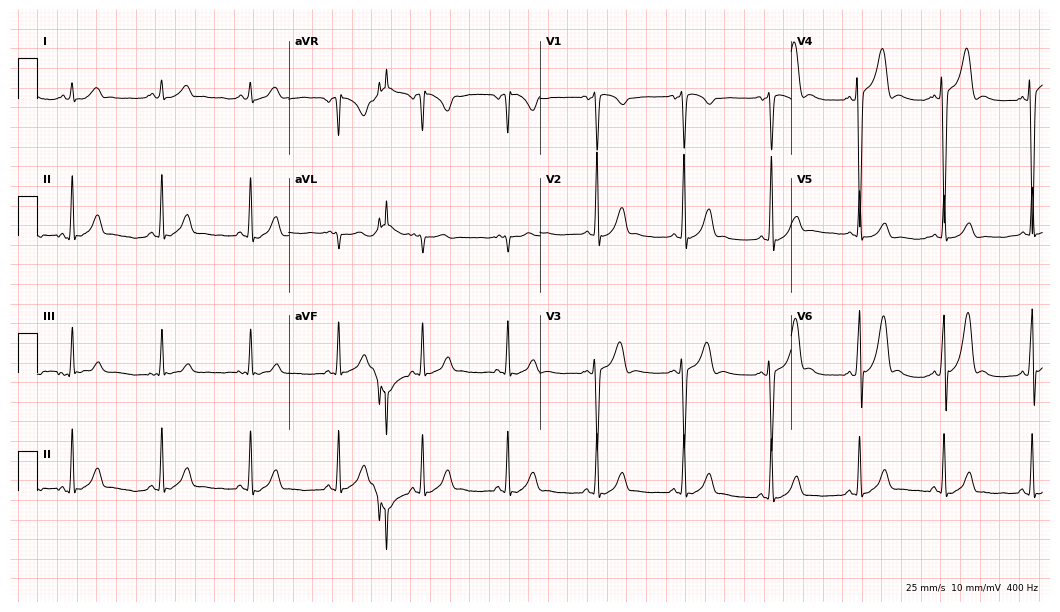
12-lead ECG from a 17-year-old man (10.2-second recording at 400 Hz). No first-degree AV block, right bundle branch block, left bundle branch block, sinus bradycardia, atrial fibrillation or sinus tachycardia recorded for this tracing. Other findings, if any, are not listed.